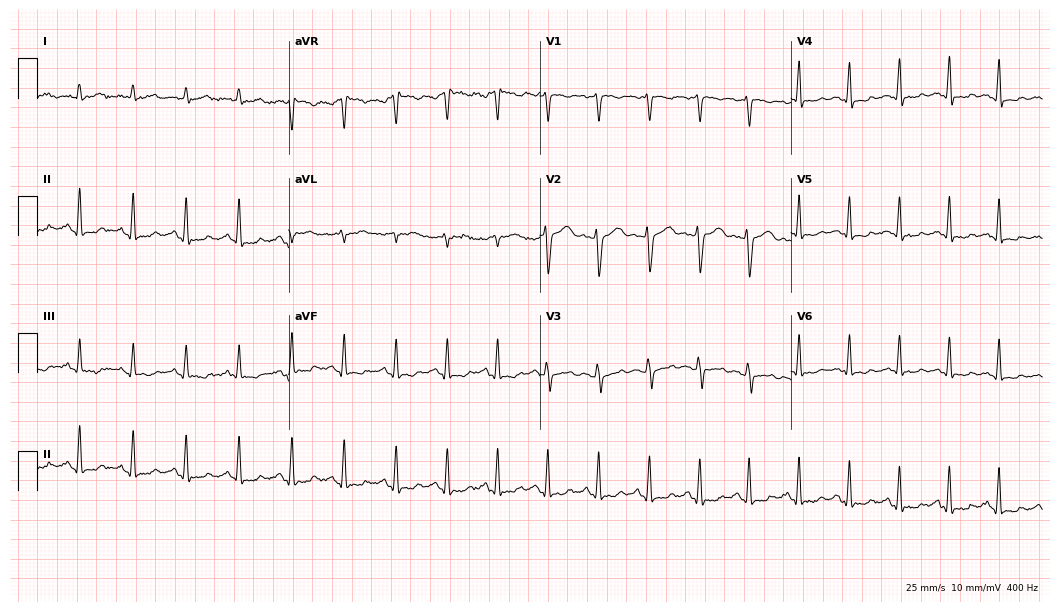
Resting 12-lead electrocardiogram (10.2-second recording at 400 Hz). Patient: a 35-year-old female. None of these six findings is recorded: first-degree AV block, right bundle branch block, left bundle branch block, sinus bradycardia, atrial fibrillation, sinus tachycardia.